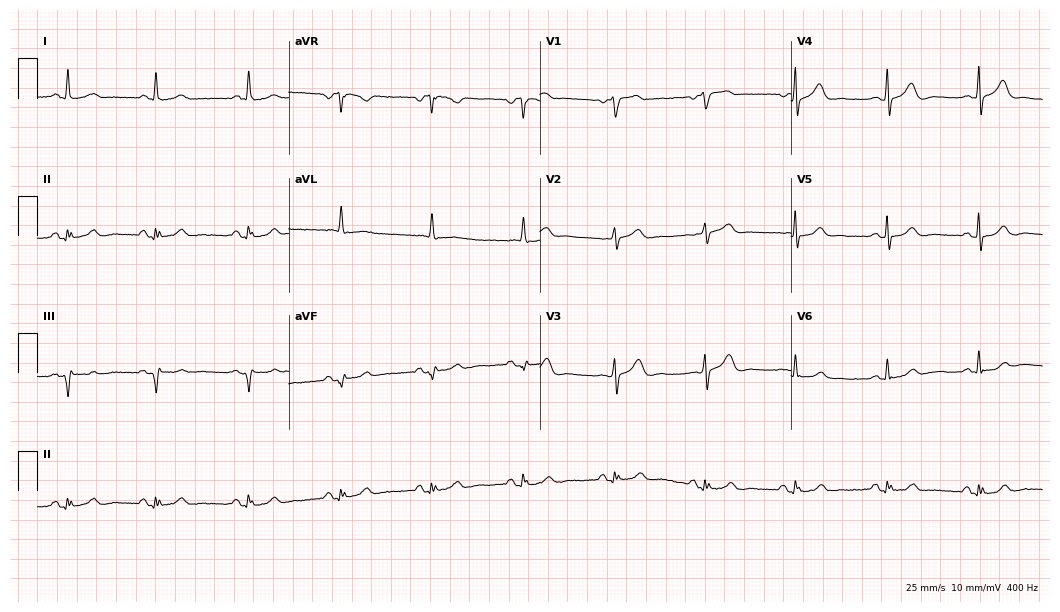
12-lead ECG from a female patient, 83 years old. Labelled as a normal ECG.